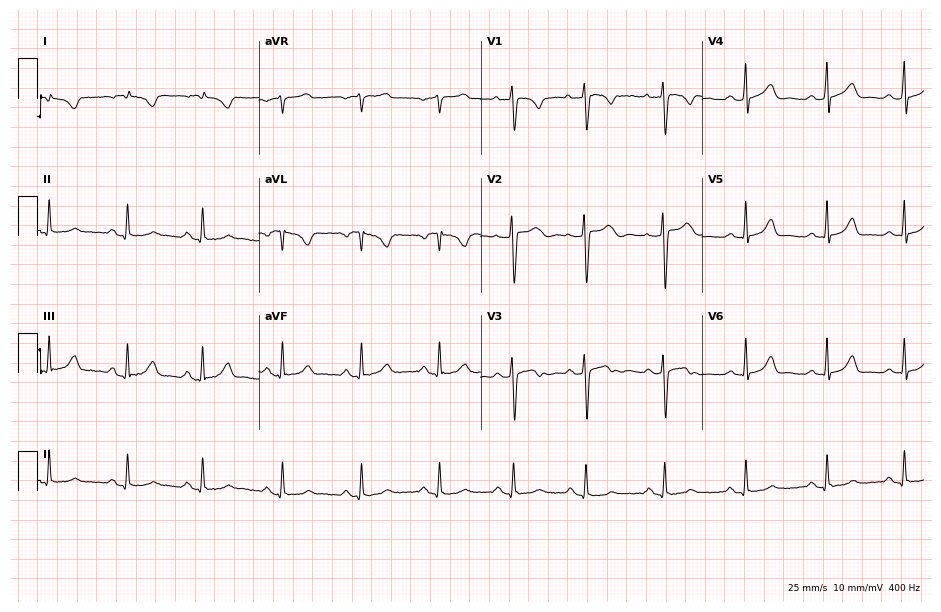
Standard 12-lead ECG recorded from a female, 23 years old. None of these six findings is recorded: first-degree AV block, right bundle branch block, left bundle branch block, sinus bradycardia, atrial fibrillation, sinus tachycardia. Other findings, if any, are not listed.